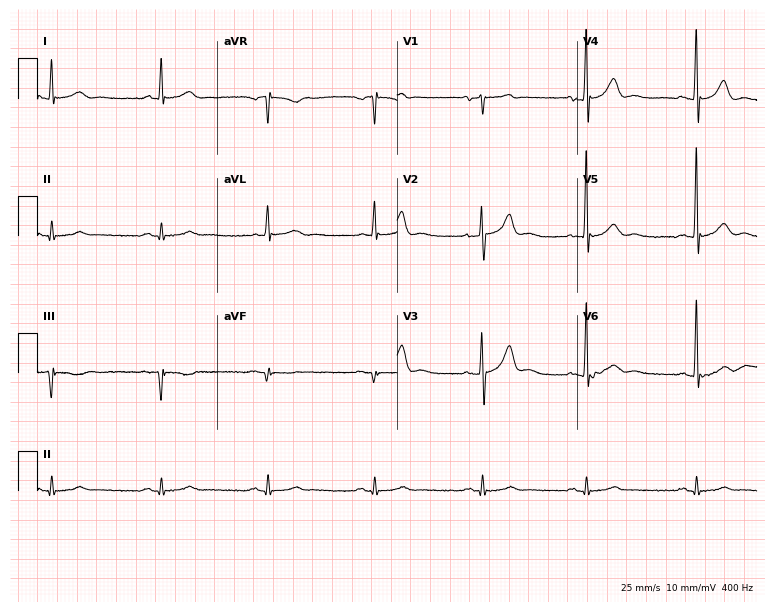
12-lead ECG from a 65-year-old man. Recorded interpretation: within normal limits.